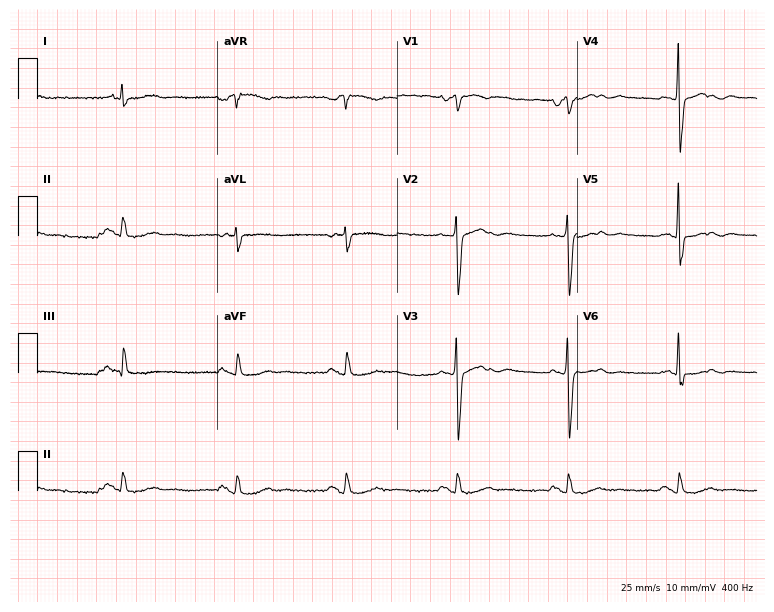
12-lead ECG from an 85-year-old woman (7.3-second recording at 400 Hz). No first-degree AV block, right bundle branch block, left bundle branch block, sinus bradycardia, atrial fibrillation or sinus tachycardia recorded for this tracing. Other findings, if any, are not listed.